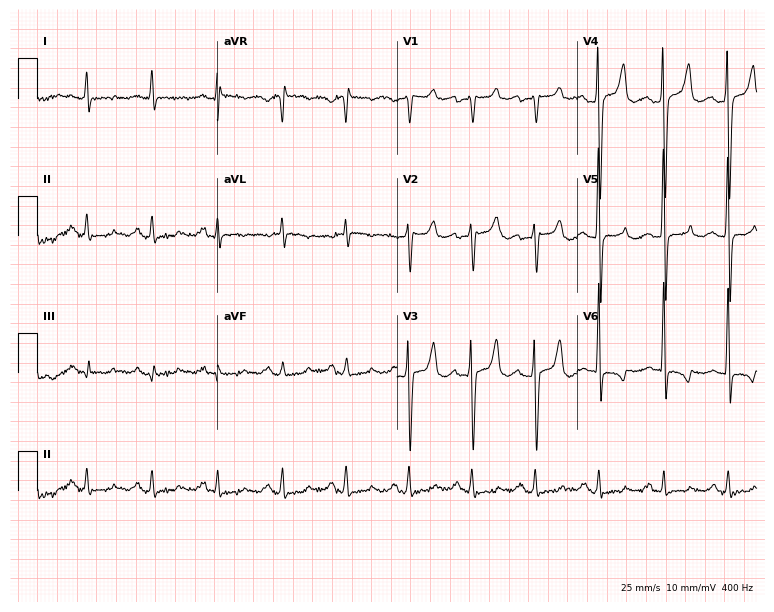
Resting 12-lead electrocardiogram (7.3-second recording at 400 Hz). Patient: a male, 61 years old. None of these six findings is recorded: first-degree AV block, right bundle branch block (RBBB), left bundle branch block (LBBB), sinus bradycardia, atrial fibrillation (AF), sinus tachycardia. Findings outside these six are not listed.